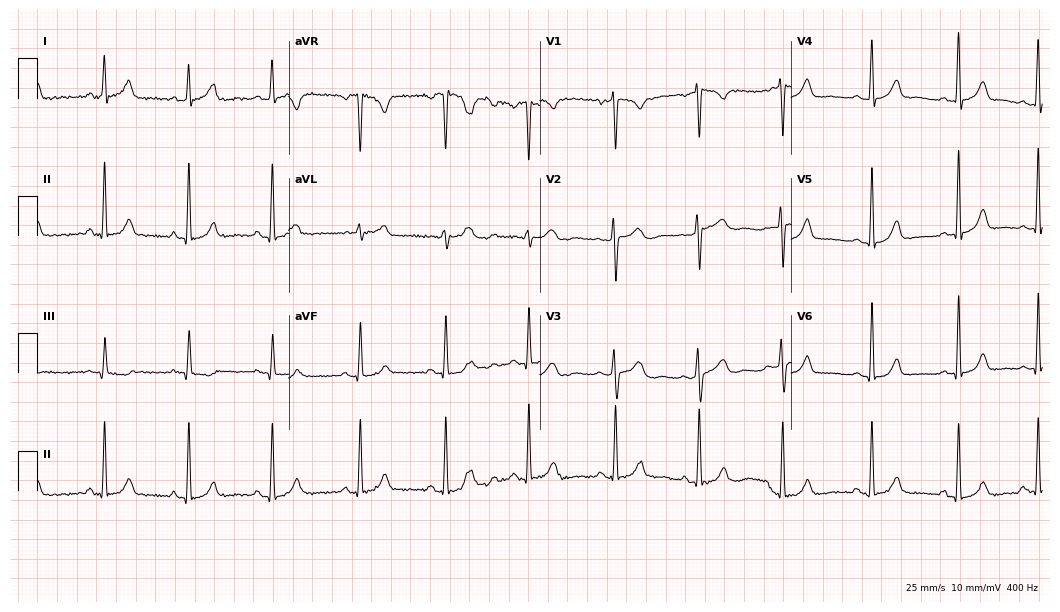
12-lead ECG from a 30-year-old woman. Labelled as a normal ECG.